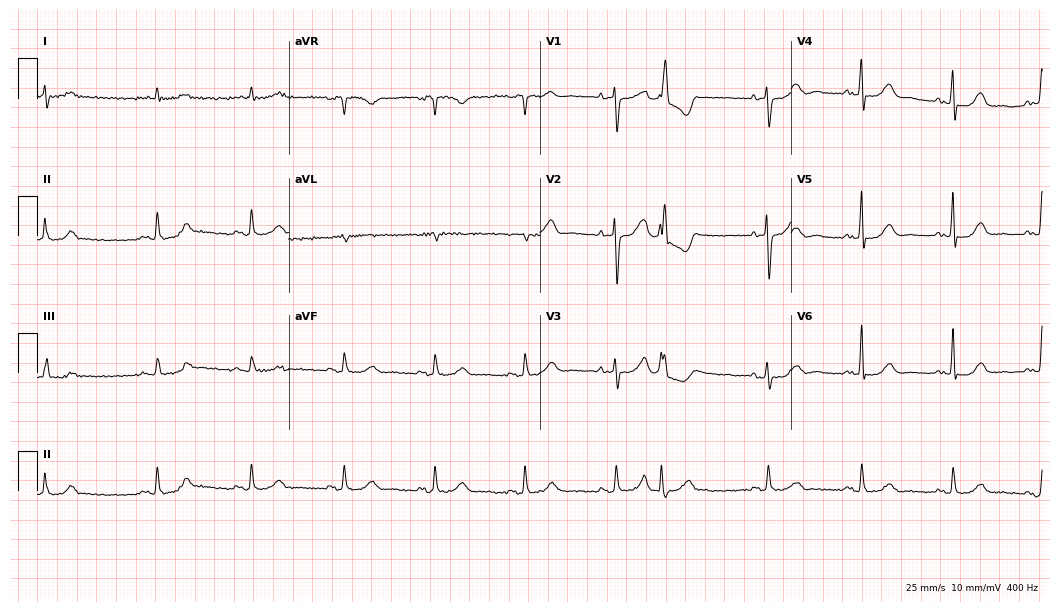
12-lead ECG from a 77-year-old female patient. Recorded interpretation: within normal limits.